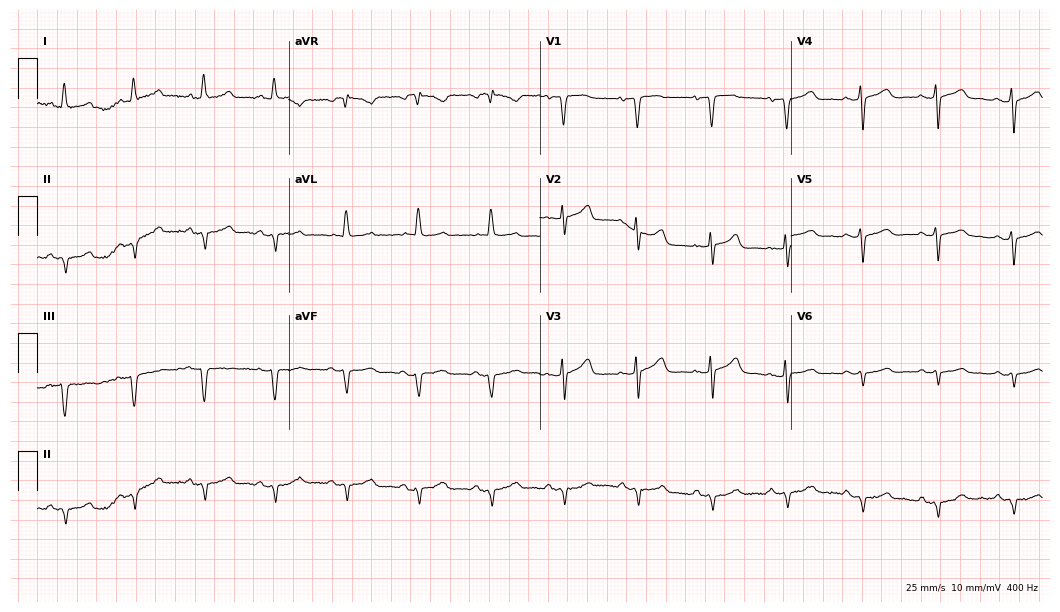
12-lead ECG from a 65-year-old female (10.2-second recording at 400 Hz). No first-degree AV block, right bundle branch block, left bundle branch block, sinus bradycardia, atrial fibrillation or sinus tachycardia recorded for this tracing.